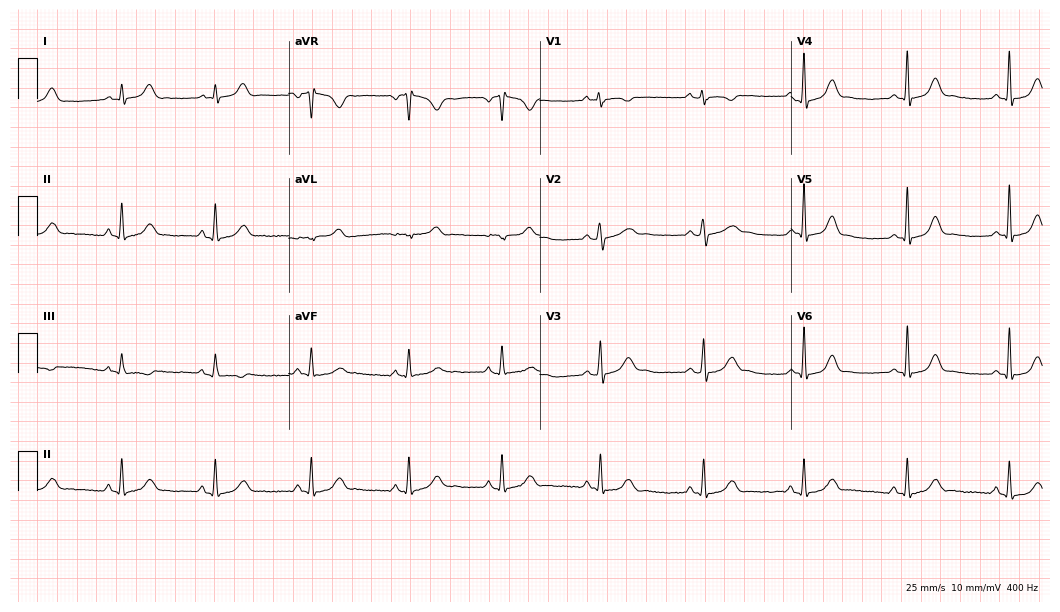
12-lead ECG from a 27-year-old woman (10.2-second recording at 400 Hz). Recorded interpretation: within normal limits.